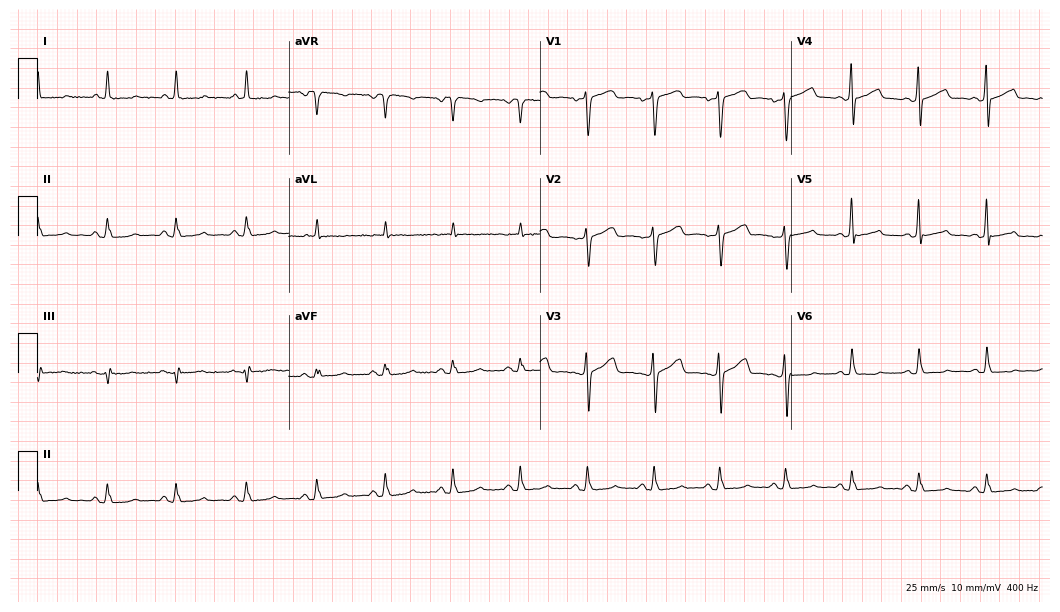
Resting 12-lead electrocardiogram. Patient: a 48-year-old female. None of these six findings is recorded: first-degree AV block, right bundle branch block, left bundle branch block, sinus bradycardia, atrial fibrillation, sinus tachycardia. Findings outside these six are not listed.